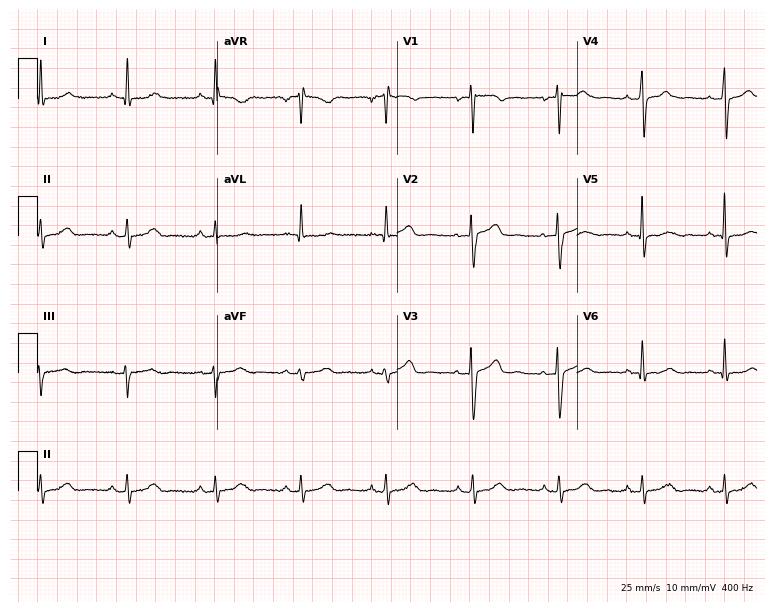
Resting 12-lead electrocardiogram (7.3-second recording at 400 Hz). Patient: a 49-year-old female. Read as a normal ECG.